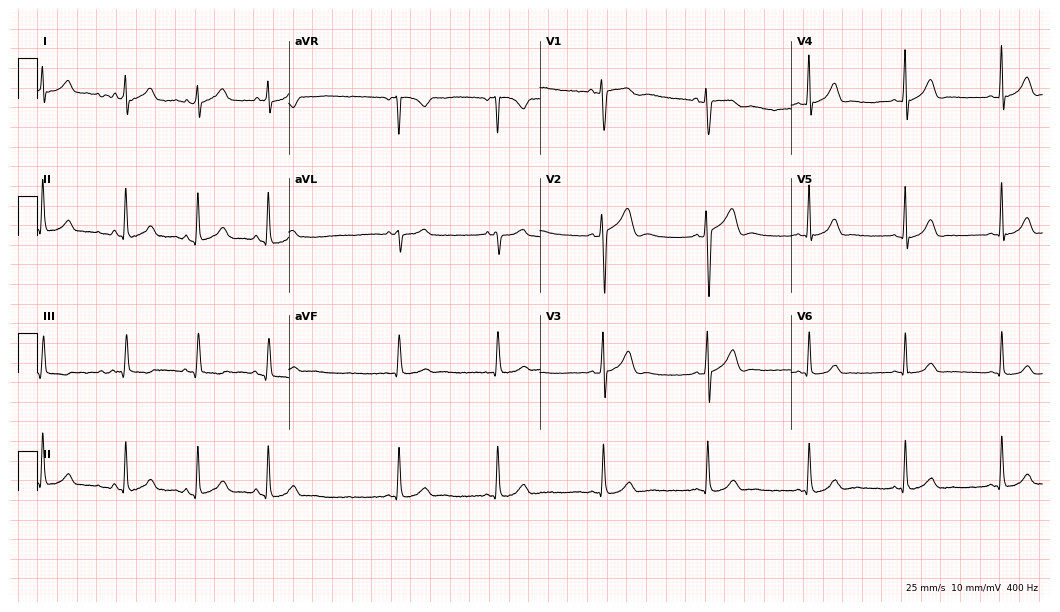
Standard 12-lead ECG recorded from a male patient, 22 years old. None of these six findings is recorded: first-degree AV block, right bundle branch block, left bundle branch block, sinus bradycardia, atrial fibrillation, sinus tachycardia.